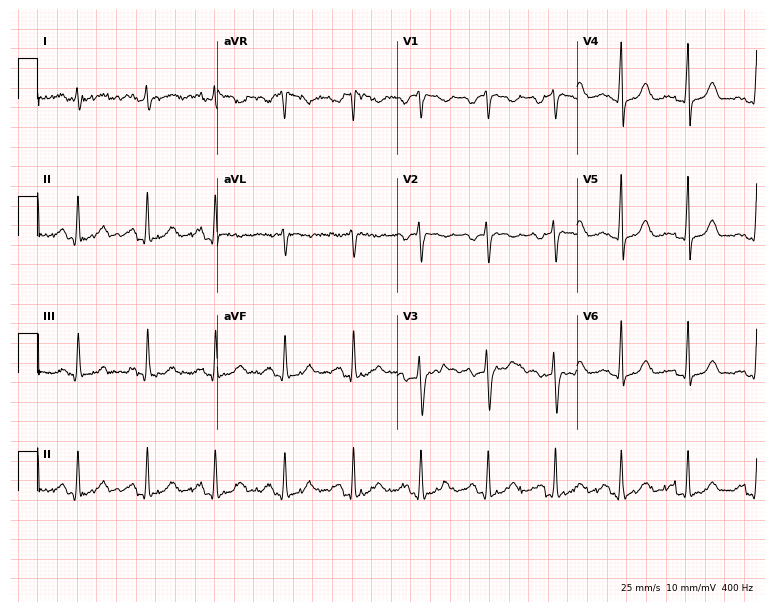
12-lead ECG from a 38-year-old female patient. No first-degree AV block, right bundle branch block (RBBB), left bundle branch block (LBBB), sinus bradycardia, atrial fibrillation (AF) or sinus tachycardia recorded for this tracing.